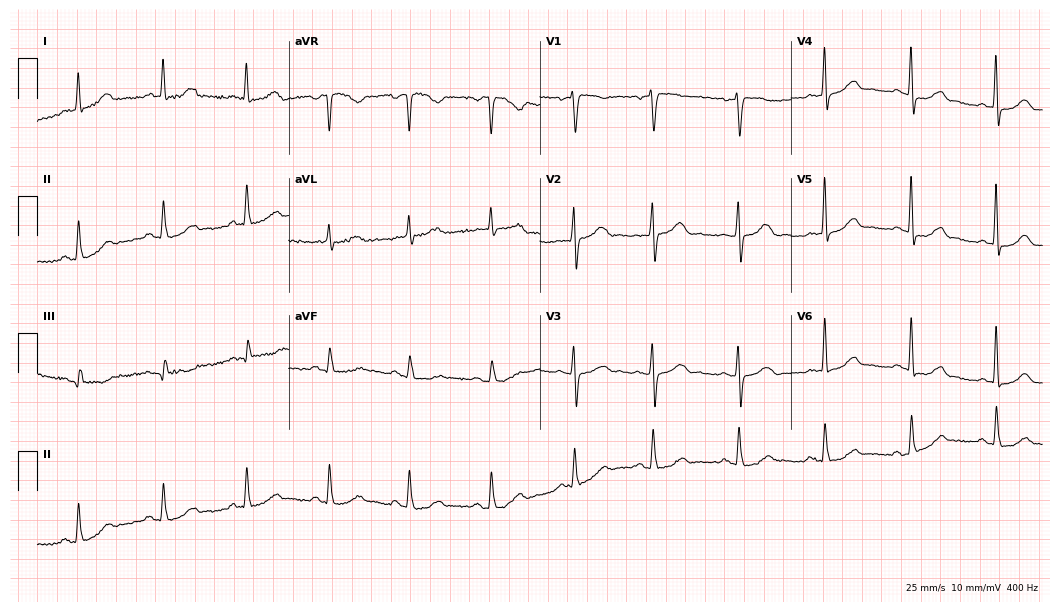
12-lead ECG (10.2-second recording at 400 Hz) from a 71-year-old female patient. Screened for six findings — first-degree AV block, right bundle branch block (RBBB), left bundle branch block (LBBB), sinus bradycardia, atrial fibrillation (AF), sinus tachycardia — none is recorded. Only these six findings were labelled.